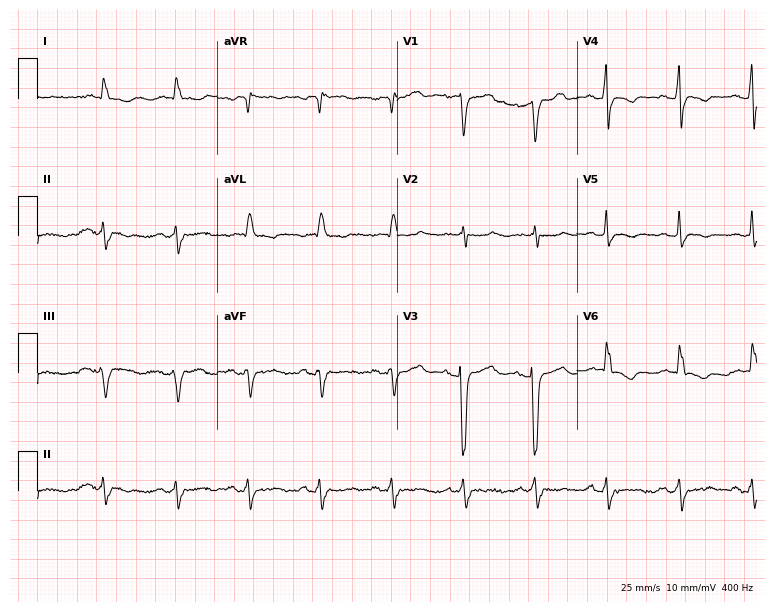
Electrocardiogram, a 77-year-old female. Interpretation includes left bundle branch block (LBBB).